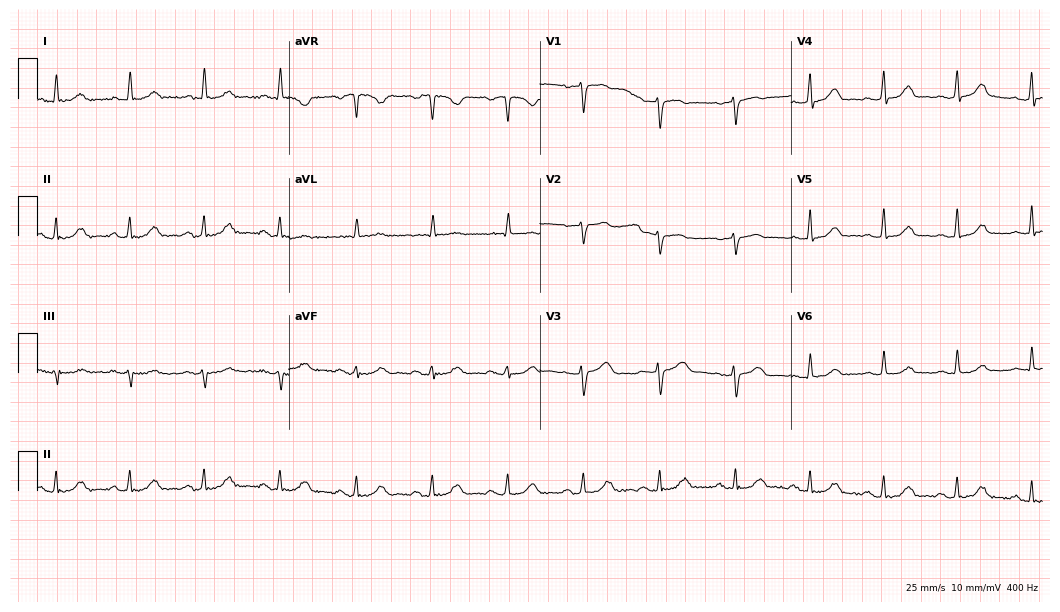
12-lead ECG from a 52-year-old female patient. Screened for six findings — first-degree AV block, right bundle branch block, left bundle branch block, sinus bradycardia, atrial fibrillation, sinus tachycardia — none is recorded.